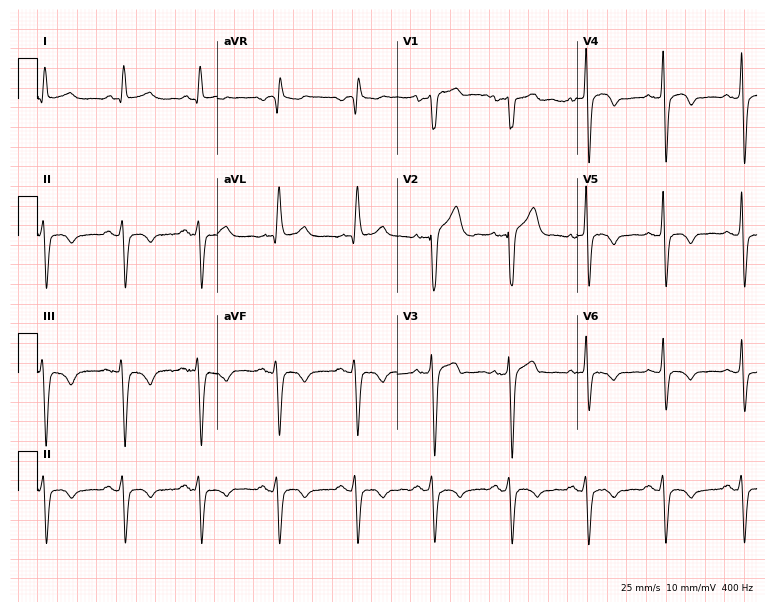
Electrocardiogram, a man, 63 years old. Of the six screened findings (first-degree AV block, right bundle branch block (RBBB), left bundle branch block (LBBB), sinus bradycardia, atrial fibrillation (AF), sinus tachycardia), none is recorded. Other findings, if any, are not listed.